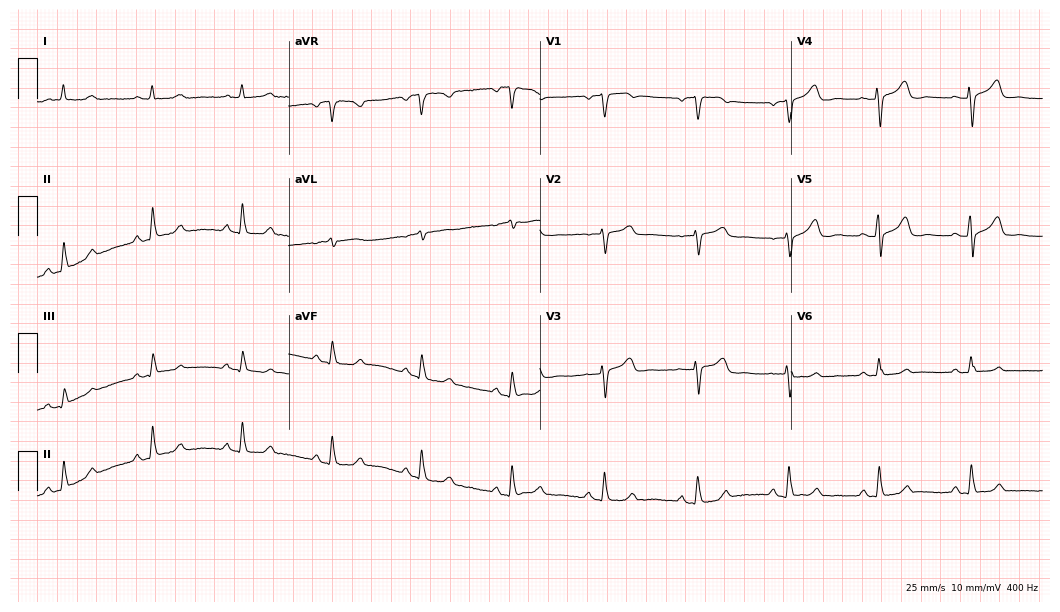
Resting 12-lead electrocardiogram. Patient: a 63-year-old female. Read as a normal ECG.